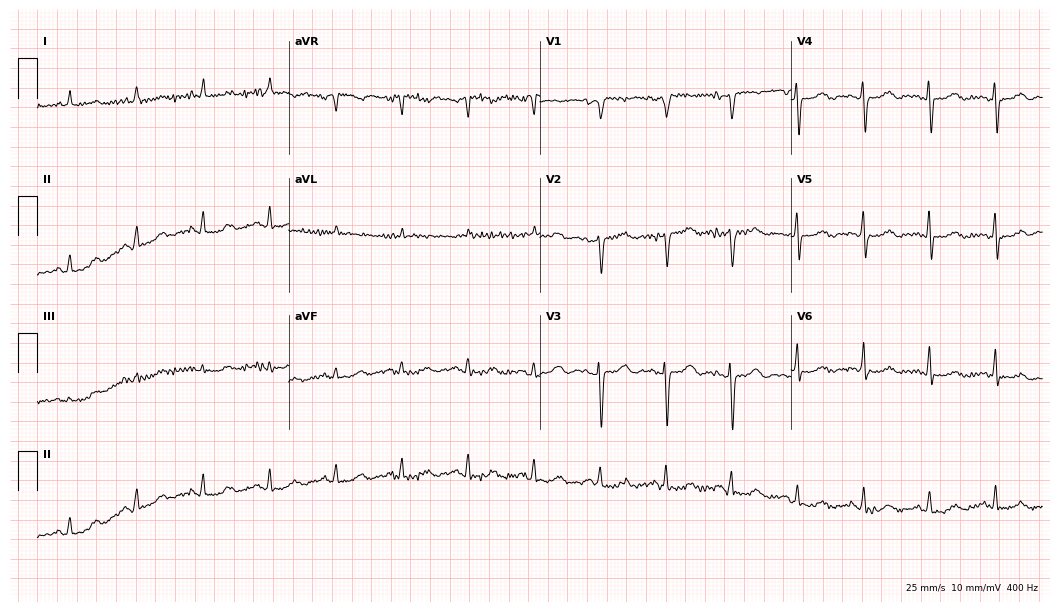
Electrocardiogram (10.2-second recording at 400 Hz), a 73-year-old woman. Overall reading on record: normal ECG.